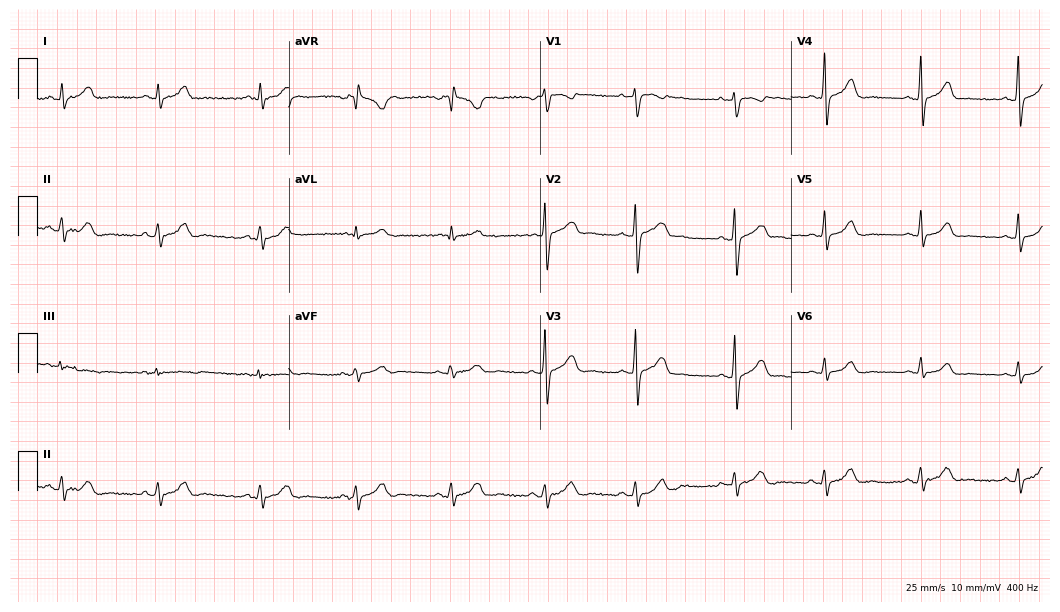
12-lead ECG (10.2-second recording at 400 Hz) from a 19-year-old female. Screened for six findings — first-degree AV block, right bundle branch block (RBBB), left bundle branch block (LBBB), sinus bradycardia, atrial fibrillation (AF), sinus tachycardia — none is recorded. Only these six findings were labelled.